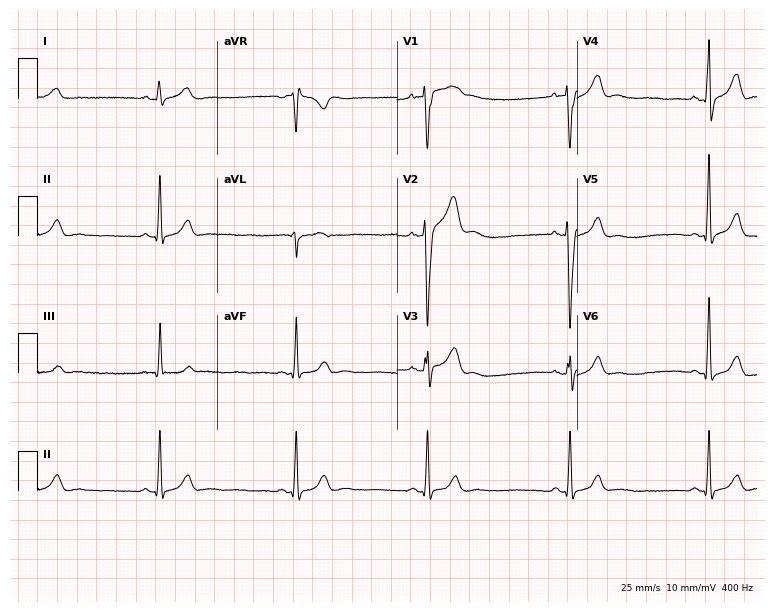
Resting 12-lead electrocardiogram. Patient: a male, 22 years old. The tracing shows sinus bradycardia (a sinus rate of 50 beats per minute or less).